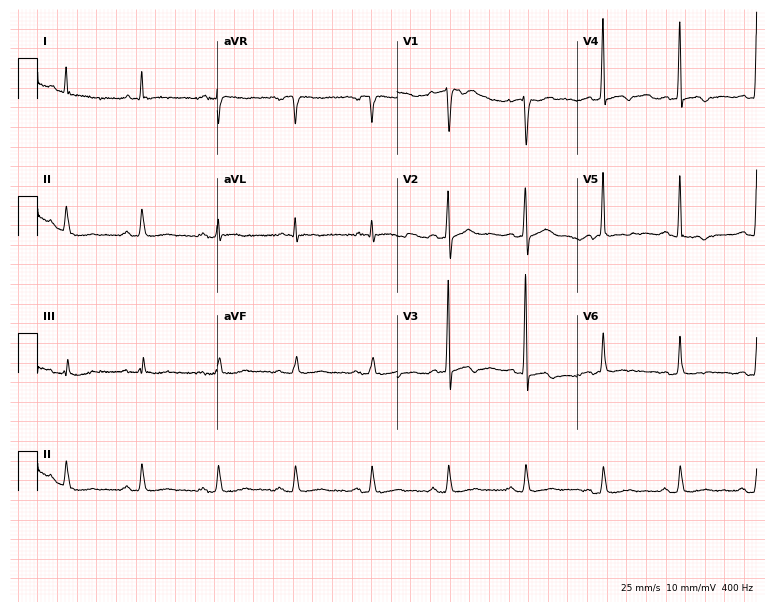
ECG (7.3-second recording at 400 Hz) — a man, 63 years old. Screened for six findings — first-degree AV block, right bundle branch block, left bundle branch block, sinus bradycardia, atrial fibrillation, sinus tachycardia — none is recorded.